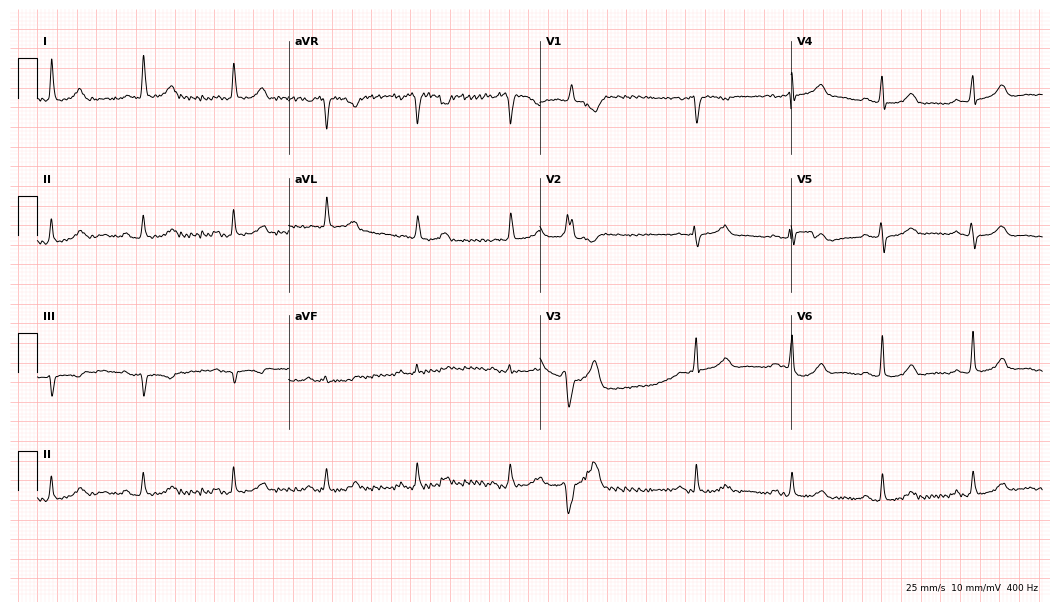
Electrocardiogram, a female, 85 years old. Of the six screened findings (first-degree AV block, right bundle branch block, left bundle branch block, sinus bradycardia, atrial fibrillation, sinus tachycardia), none is recorded. Findings outside these six are not listed.